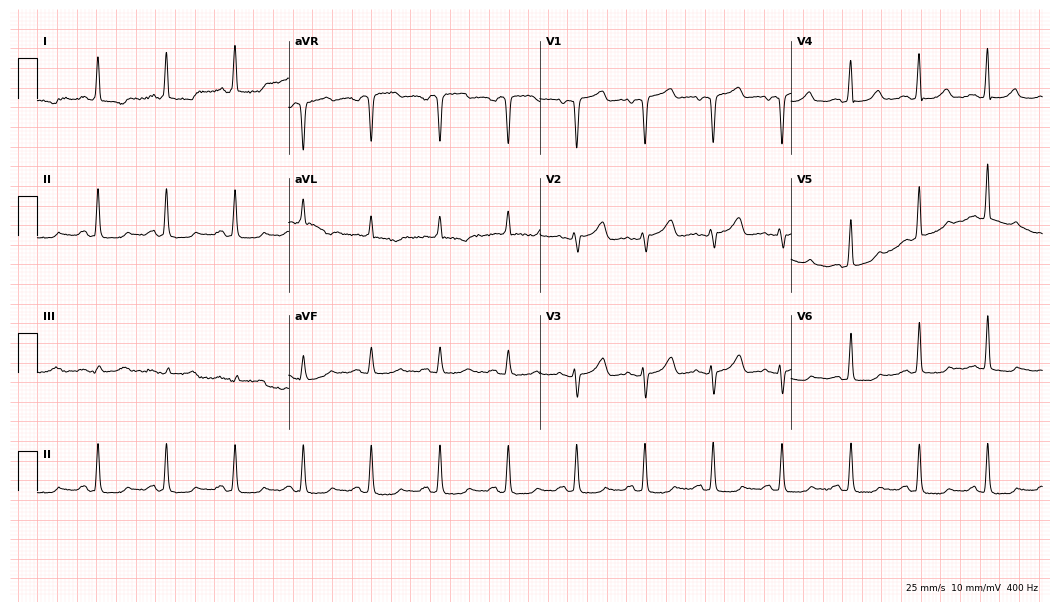
Resting 12-lead electrocardiogram. Patient: a 61-year-old woman. Read as a normal ECG.